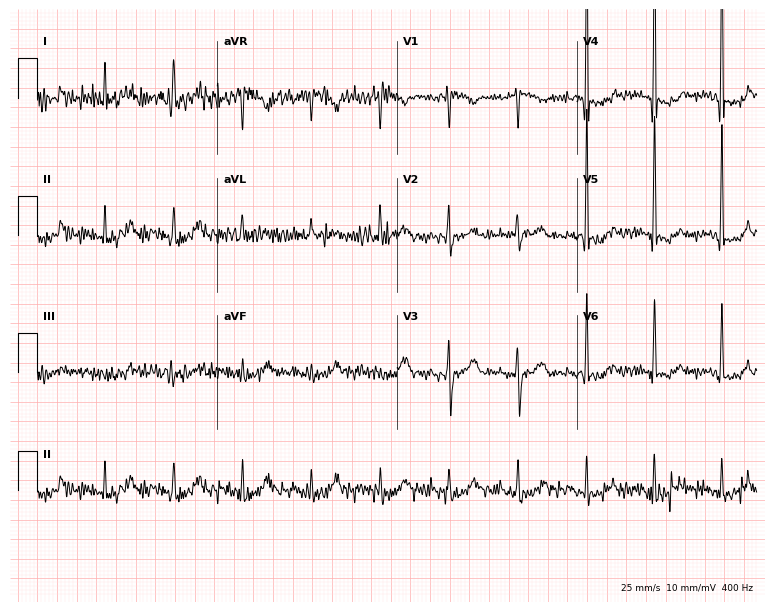
Standard 12-lead ECG recorded from an 80-year-old man (7.3-second recording at 400 Hz). None of these six findings is recorded: first-degree AV block, right bundle branch block (RBBB), left bundle branch block (LBBB), sinus bradycardia, atrial fibrillation (AF), sinus tachycardia. Other findings, if any, are not listed.